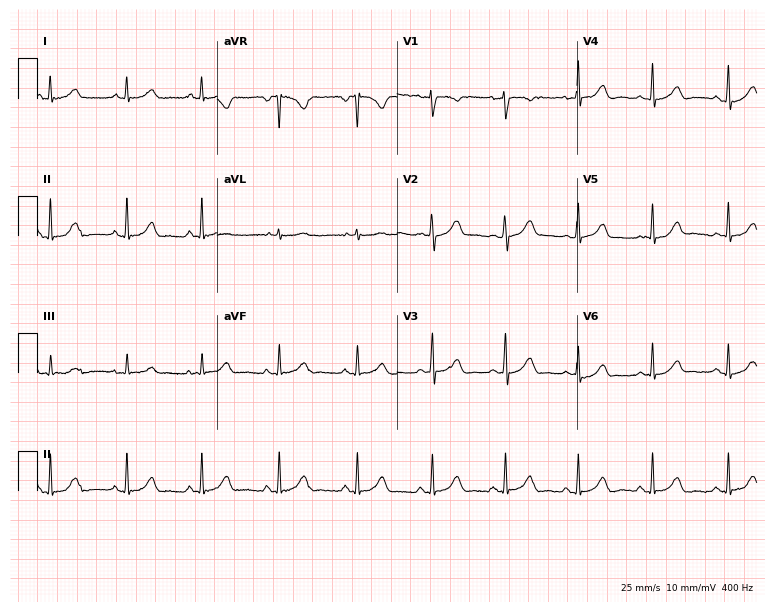
12-lead ECG from a female patient, 27 years old. Recorded interpretation: within normal limits.